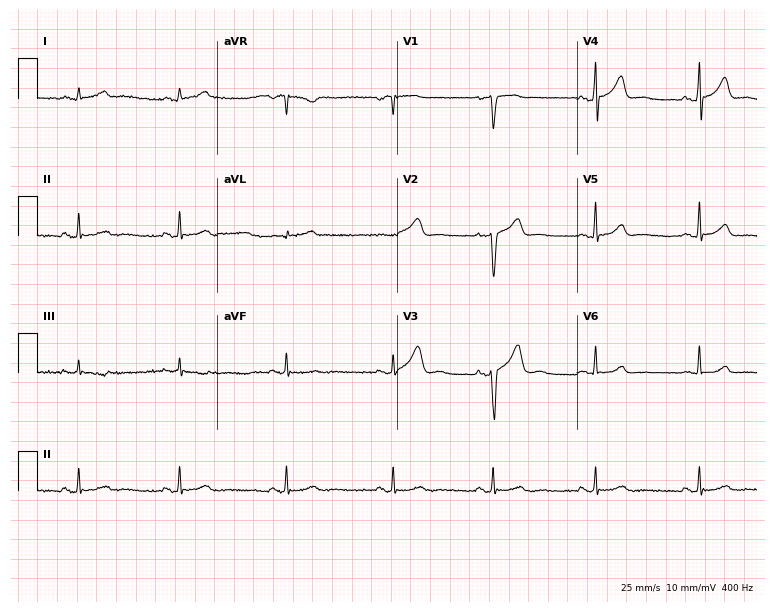
ECG (7.3-second recording at 400 Hz) — a 45-year-old man. Screened for six findings — first-degree AV block, right bundle branch block, left bundle branch block, sinus bradycardia, atrial fibrillation, sinus tachycardia — none is recorded. Findings outside these six are not listed.